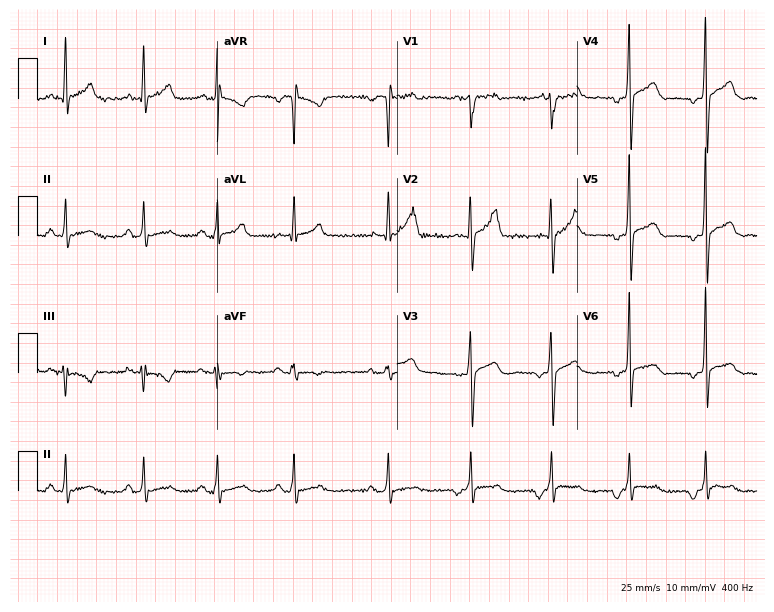
12-lead ECG (7.3-second recording at 400 Hz) from a male patient, 34 years old. Screened for six findings — first-degree AV block, right bundle branch block, left bundle branch block, sinus bradycardia, atrial fibrillation, sinus tachycardia — none is recorded.